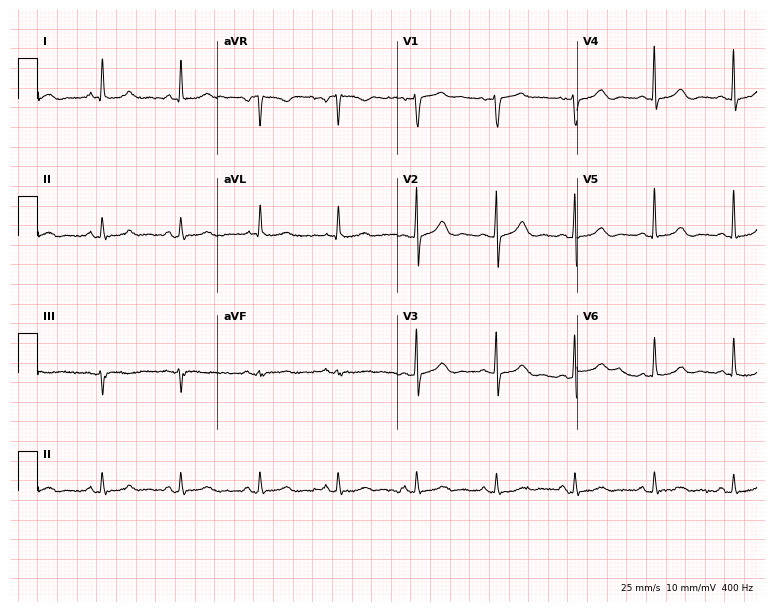
12-lead ECG from a female, 83 years old. Screened for six findings — first-degree AV block, right bundle branch block (RBBB), left bundle branch block (LBBB), sinus bradycardia, atrial fibrillation (AF), sinus tachycardia — none is recorded. Findings outside these six are not listed.